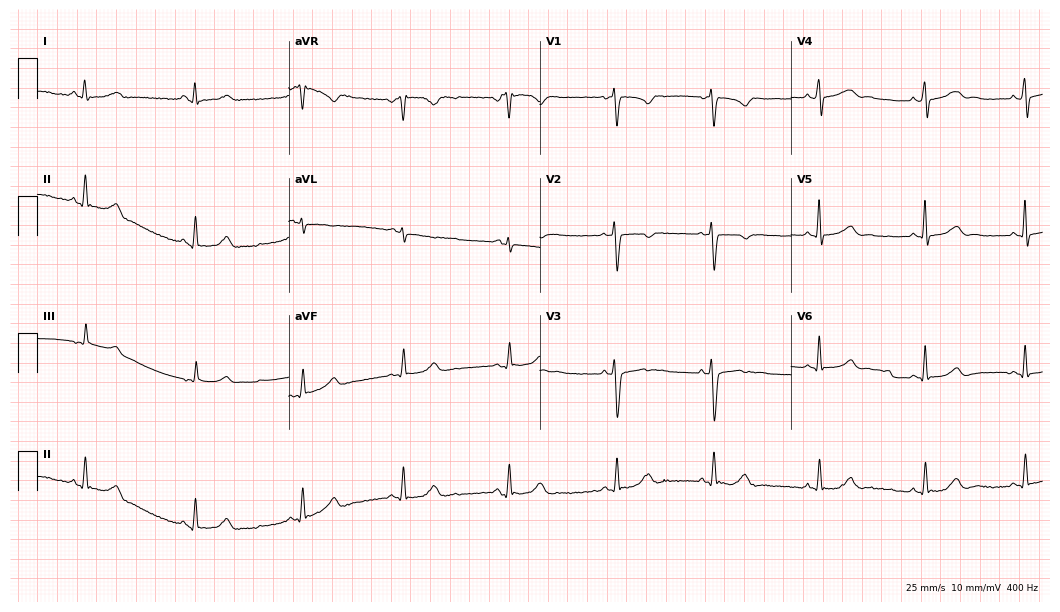
Resting 12-lead electrocardiogram. Patient: a woman, 42 years old. Read as a normal ECG.